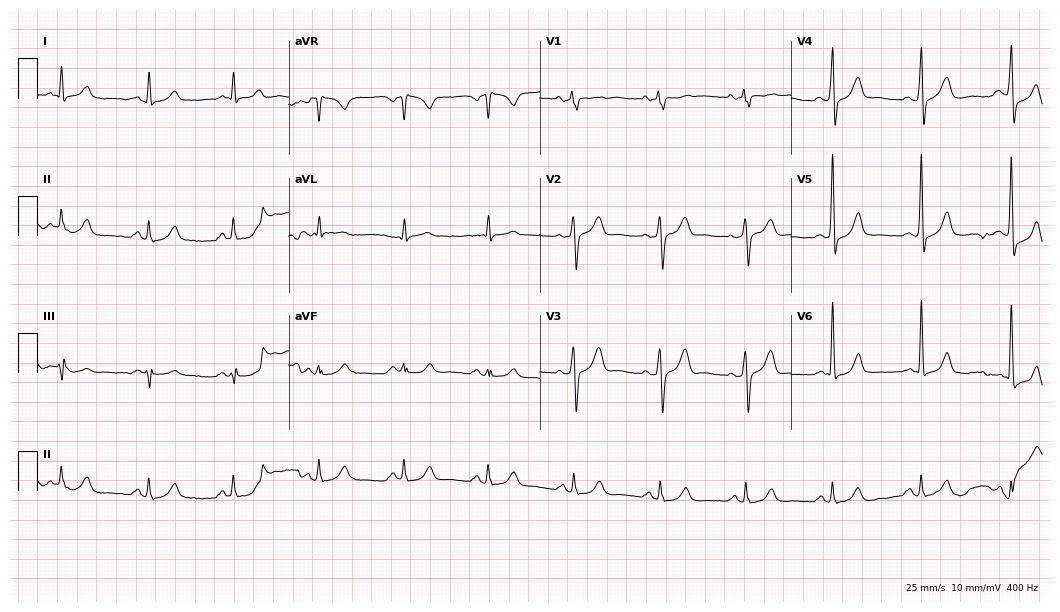
Standard 12-lead ECG recorded from a 54-year-old male patient. Read as a normal ECG.